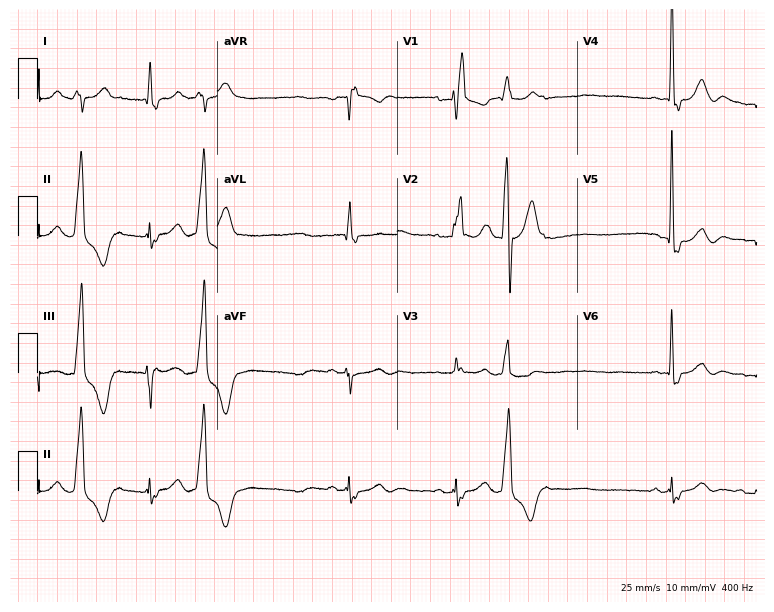
Standard 12-lead ECG recorded from a man, 81 years old. The tracing shows right bundle branch block (RBBB).